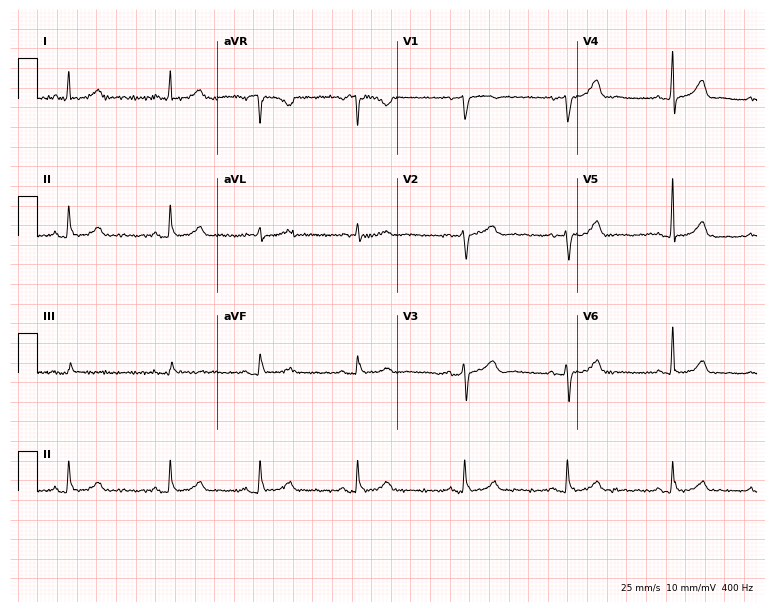
12-lead ECG from a female, 51 years old. Labelled as a normal ECG.